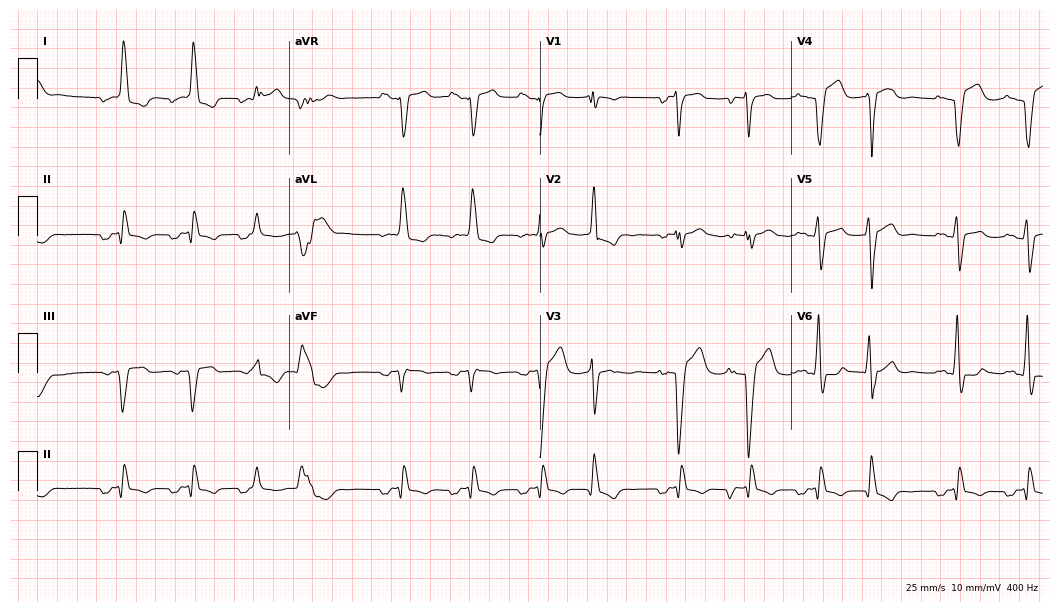
Electrocardiogram, a male, 70 years old. Of the six screened findings (first-degree AV block, right bundle branch block, left bundle branch block, sinus bradycardia, atrial fibrillation, sinus tachycardia), none is recorded.